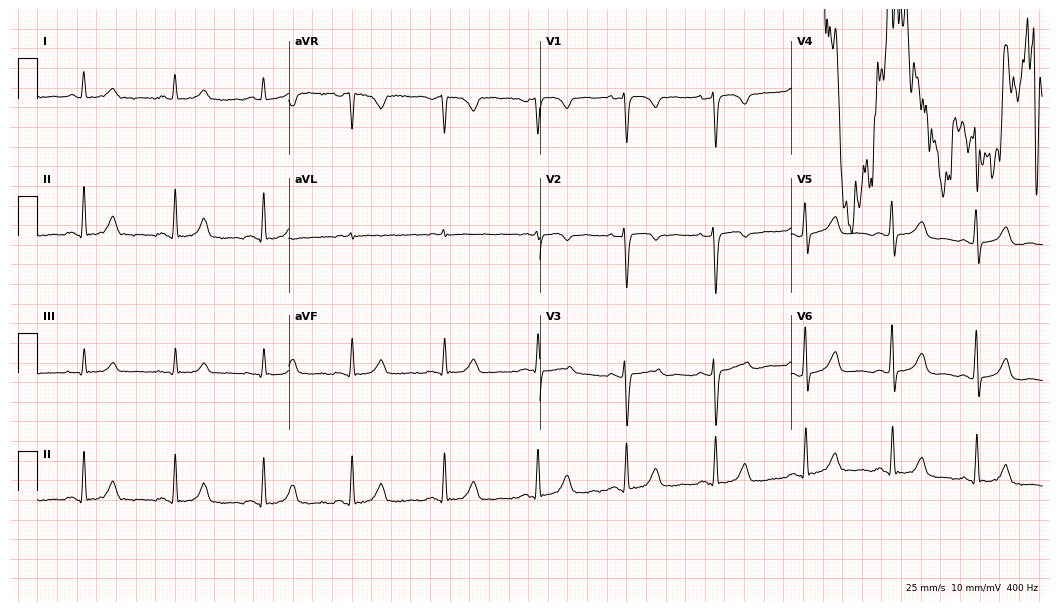
Standard 12-lead ECG recorded from a 47-year-old female. None of these six findings is recorded: first-degree AV block, right bundle branch block, left bundle branch block, sinus bradycardia, atrial fibrillation, sinus tachycardia. Findings outside these six are not listed.